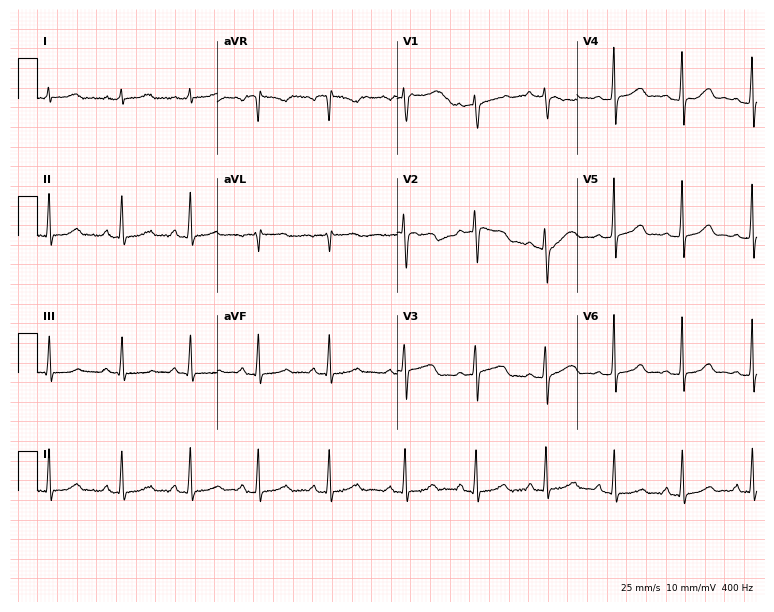
12-lead ECG (7.3-second recording at 400 Hz) from a female, 20 years old. Labelled as a normal ECG.